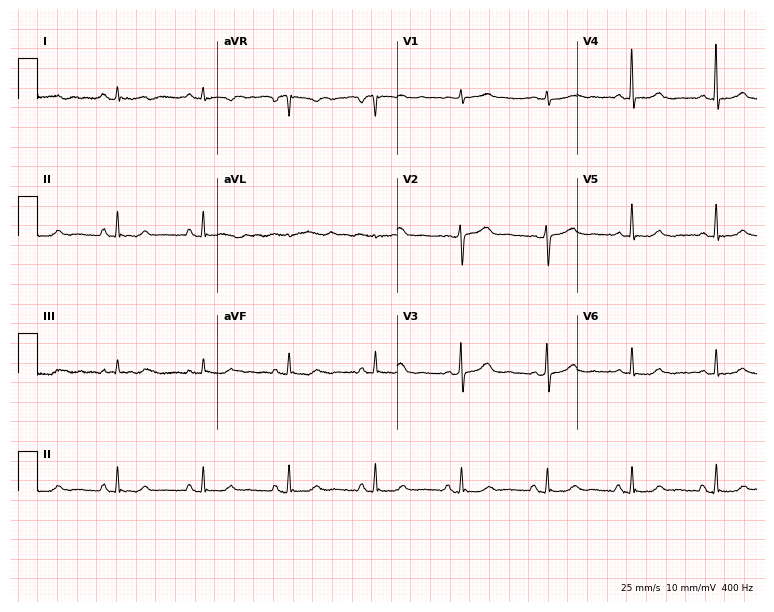
12-lead ECG (7.3-second recording at 400 Hz) from a female, 52 years old. Screened for six findings — first-degree AV block, right bundle branch block, left bundle branch block, sinus bradycardia, atrial fibrillation, sinus tachycardia — none is recorded.